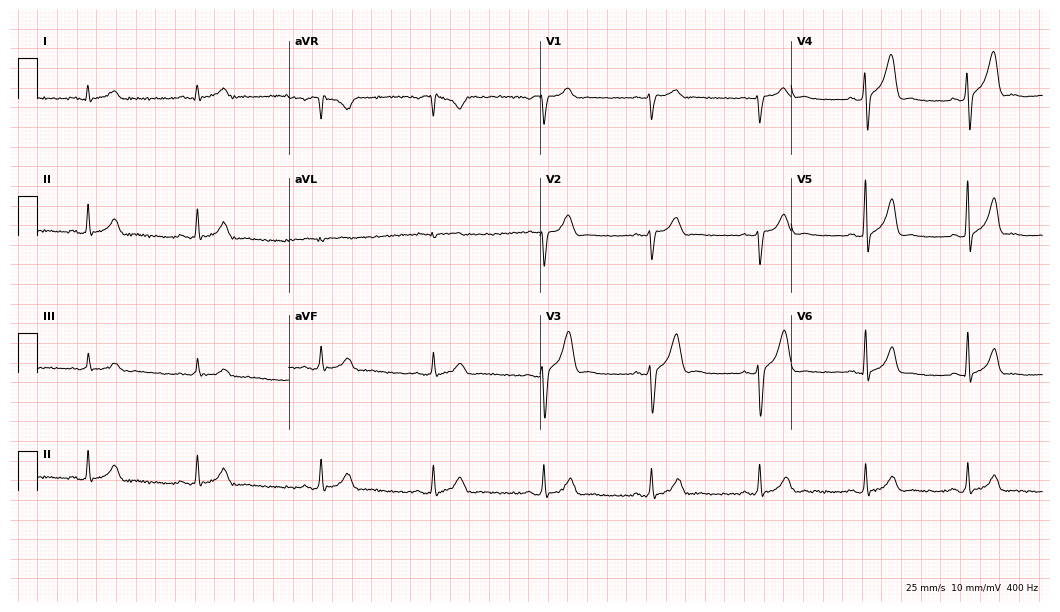
Resting 12-lead electrocardiogram (10.2-second recording at 400 Hz). Patient: a 33-year-old male. Read as a normal ECG.